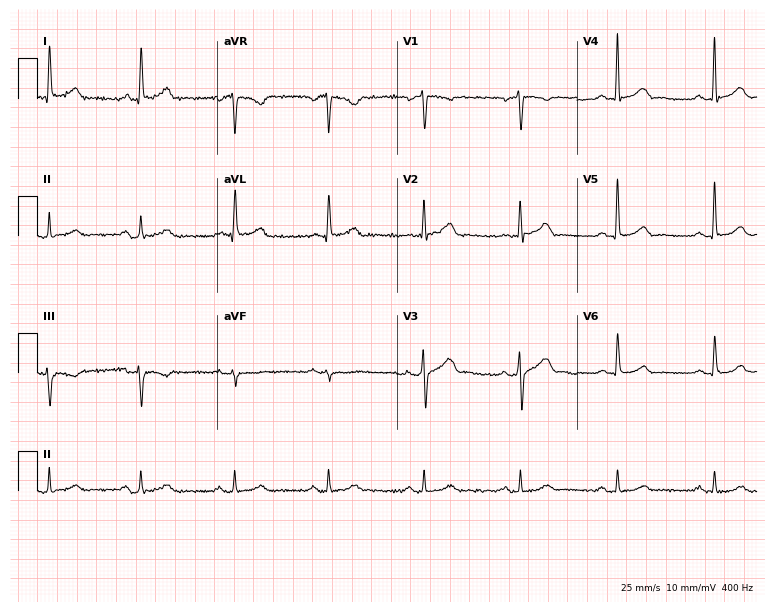
ECG — a 70-year-old man. Labelled as a normal ECG.